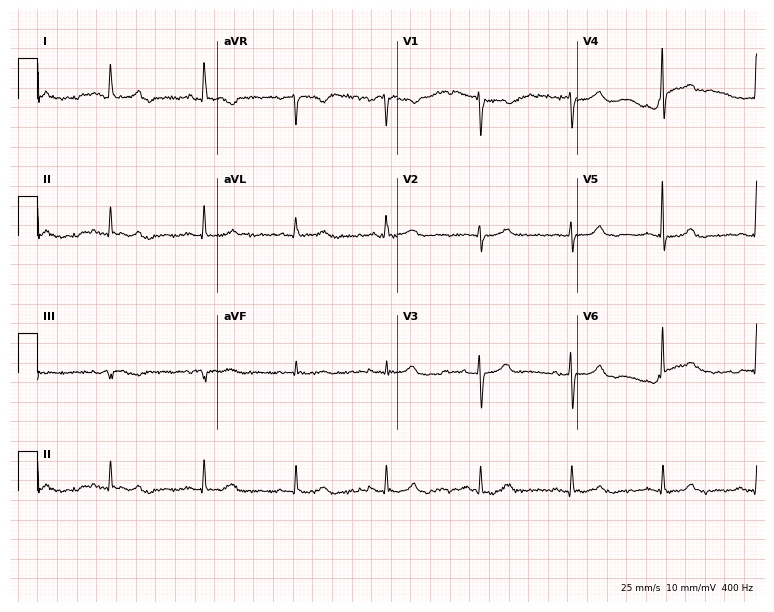
12-lead ECG (7.3-second recording at 400 Hz) from a female, 71 years old. Labelled as a normal ECG.